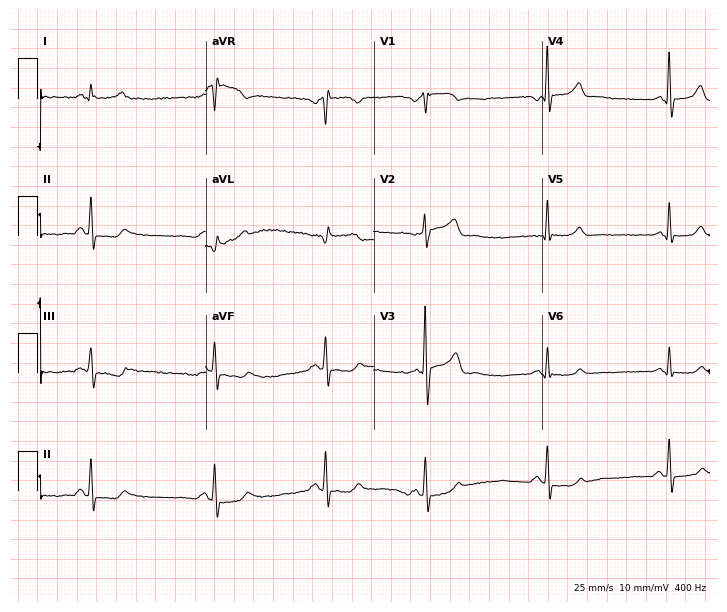
Electrocardiogram, a 41-year-old male patient. Of the six screened findings (first-degree AV block, right bundle branch block (RBBB), left bundle branch block (LBBB), sinus bradycardia, atrial fibrillation (AF), sinus tachycardia), none is recorded.